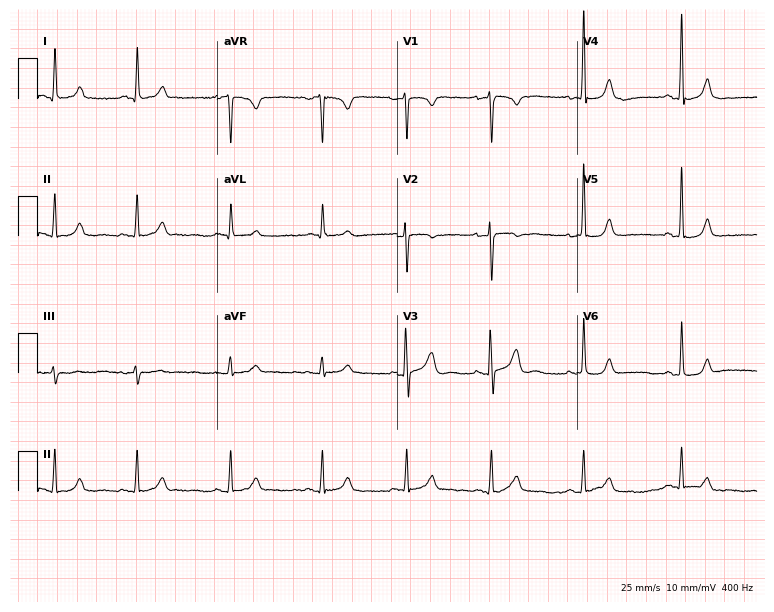
ECG — a 33-year-old female patient. Labelled as a normal ECG.